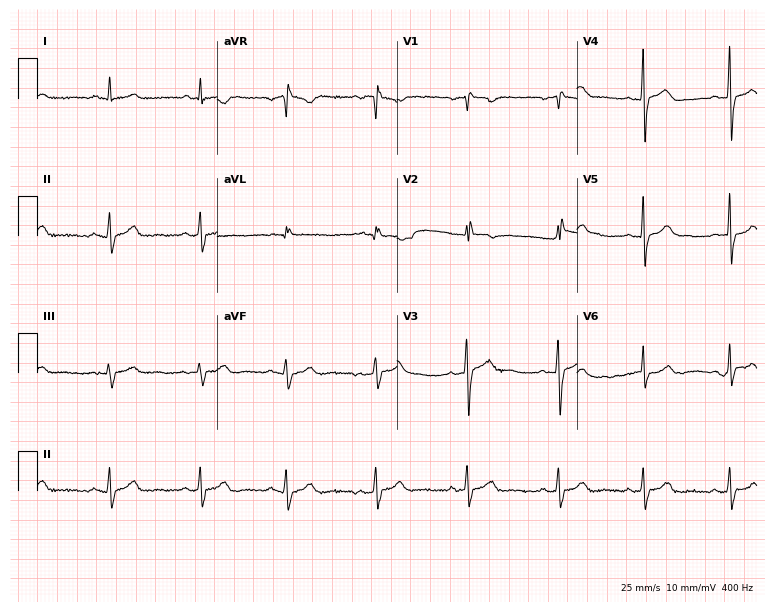
12-lead ECG from a woman, 34 years old (7.3-second recording at 400 Hz). No first-degree AV block, right bundle branch block, left bundle branch block, sinus bradycardia, atrial fibrillation or sinus tachycardia recorded for this tracing. Only these six findings were labelled.